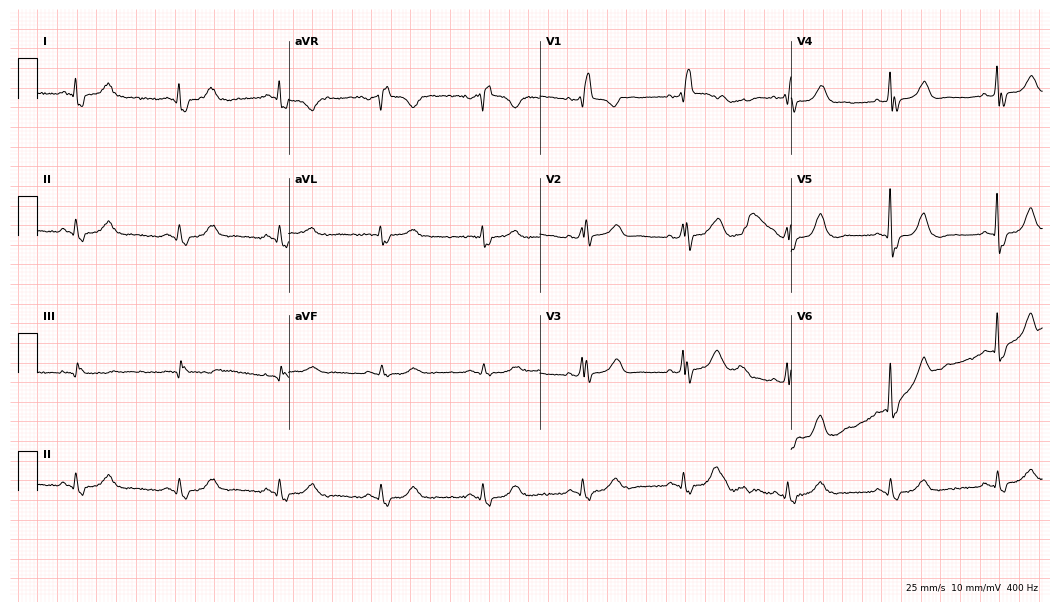
ECG — a 74-year-old woman. Findings include right bundle branch block.